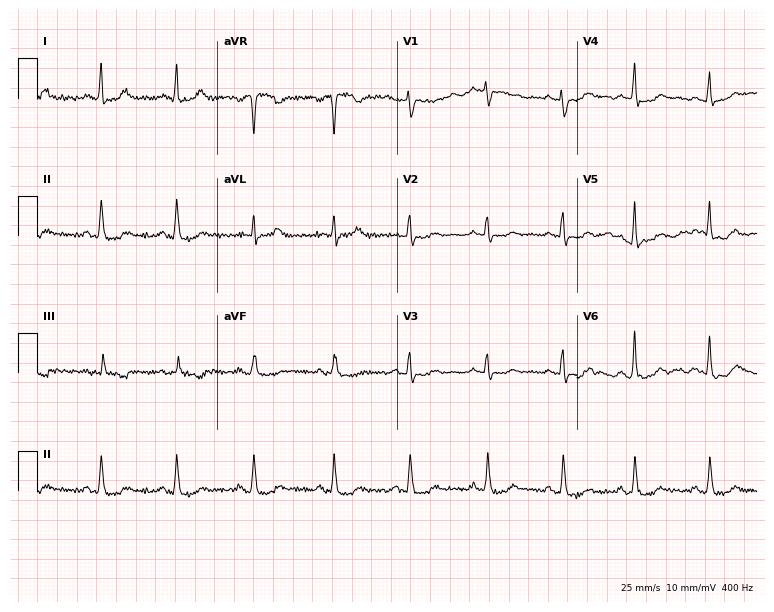
Standard 12-lead ECG recorded from a 40-year-old female. Read as a normal ECG.